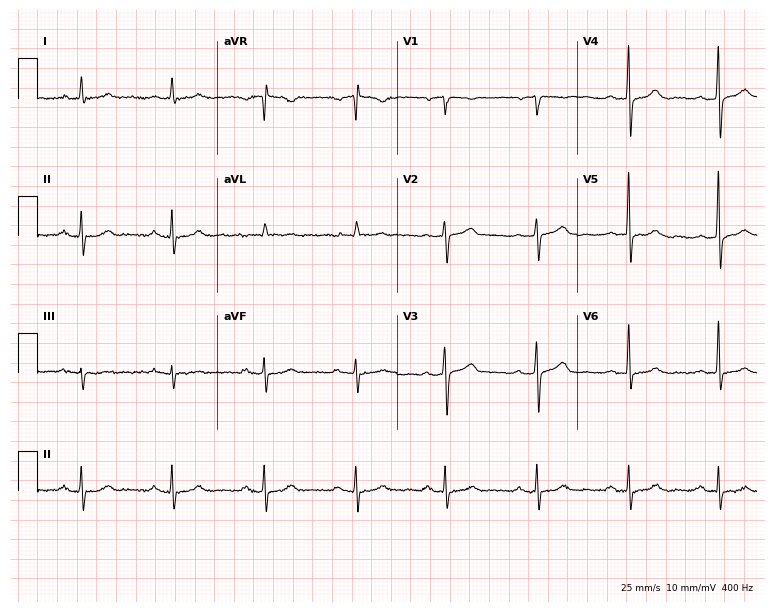
Electrocardiogram (7.3-second recording at 400 Hz), a male, 84 years old. Overall reading on record: normal ECG.